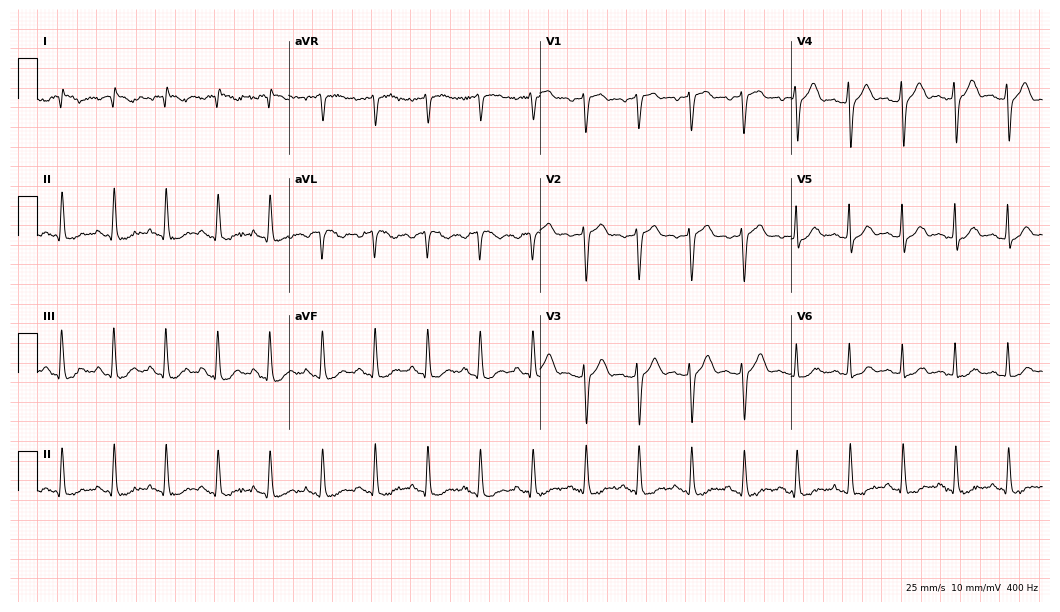
12-lead ECG from a 48-year-old woman. Shows sinus tachycardia (a sinus rate of 100 beats per minute or more).